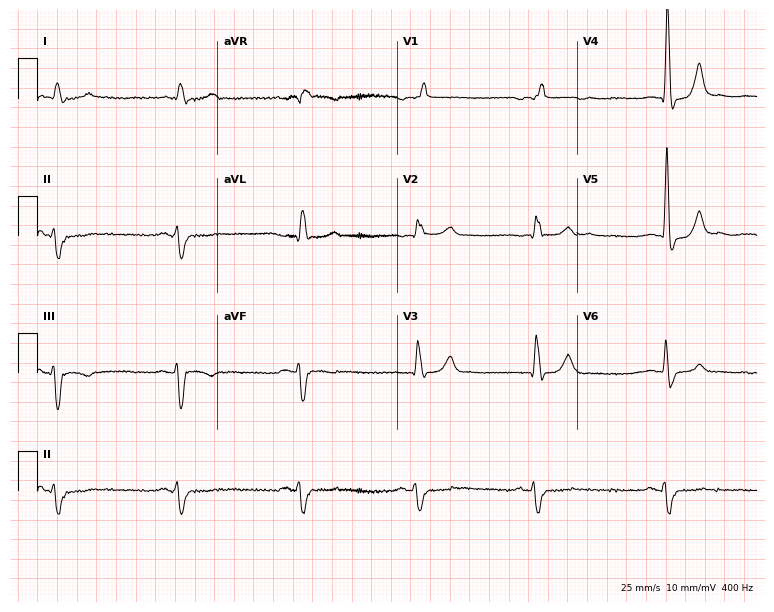
Standard 12-lead ECG recorded from a 79-year-old male (7.3-second recording at 400 Hz). The tracing shows right bundle branch block (RBBB), sinus bradycardia (a sinus rate of 50 beats per minute or less).